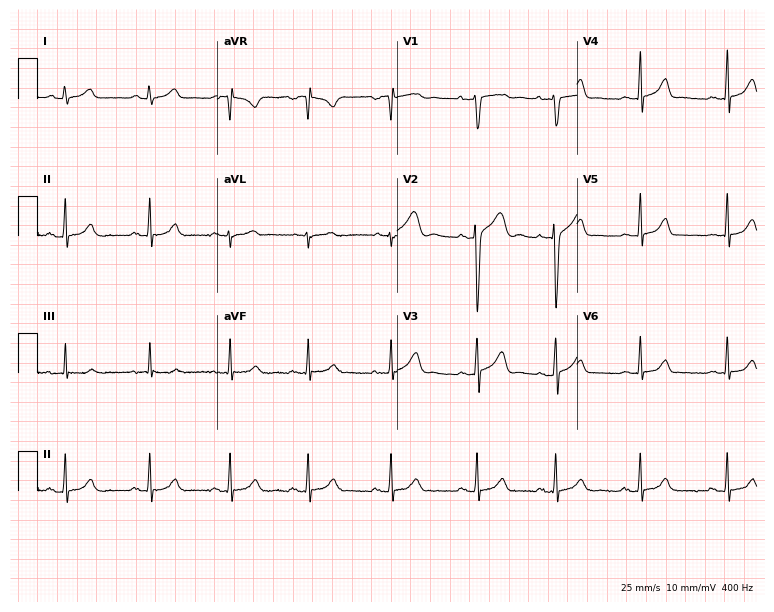
Electrocardiogram, a 19-year-old female patient. Overall reading on record: normal ECG.